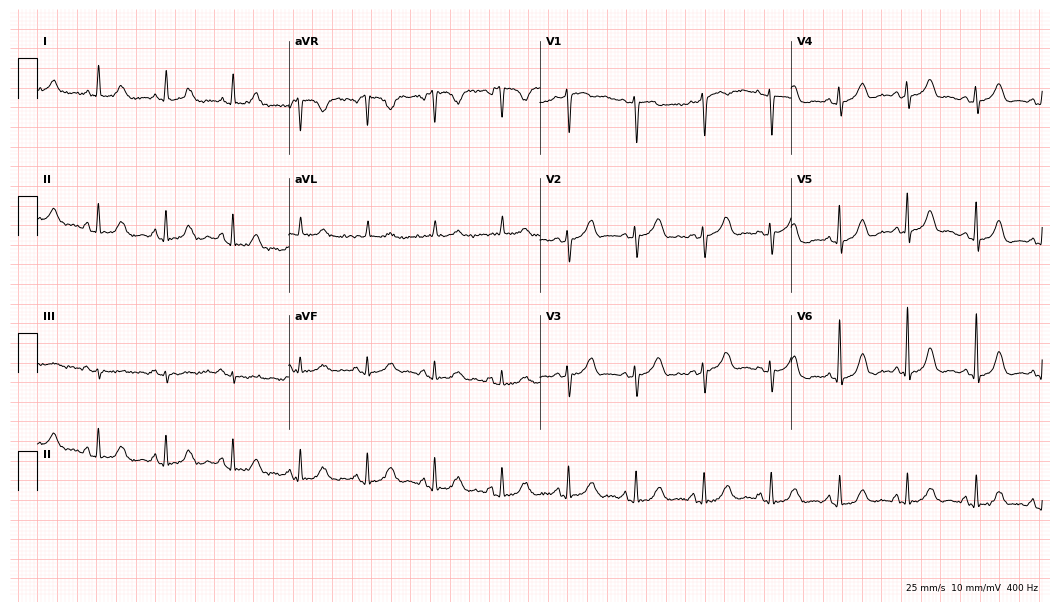
Resting 12-lead electrocardiogram (10.2-second recording at 400 Hz). Patient: an 80-year-old woman. Read as a normal ECG.